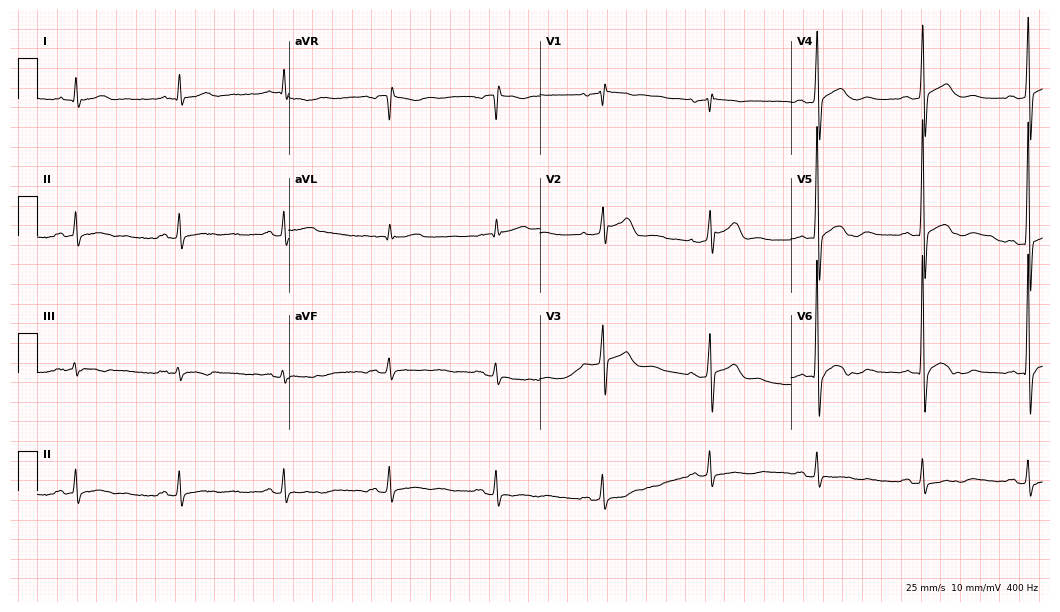
Standard 12-lead ECG recorded from a male patient, 75 years old. None of these six findings is recorded: first-degree AV block, right bundle branch block (RBBB), left bundle branch block (LBBB), sinus bradycardia, atrial fibrillation (AF), sinus tachycardia.